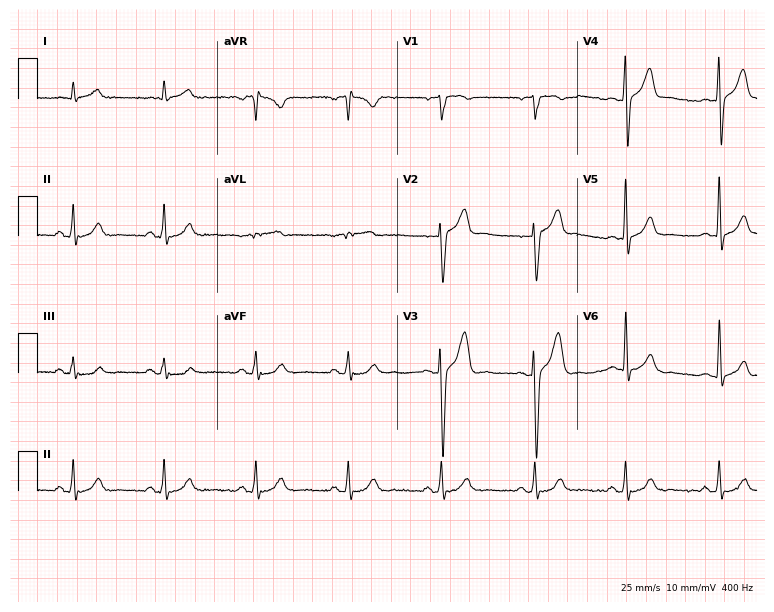
12-lead ECG from a male, 54 years old. Recorded interpretation: within normal limits.